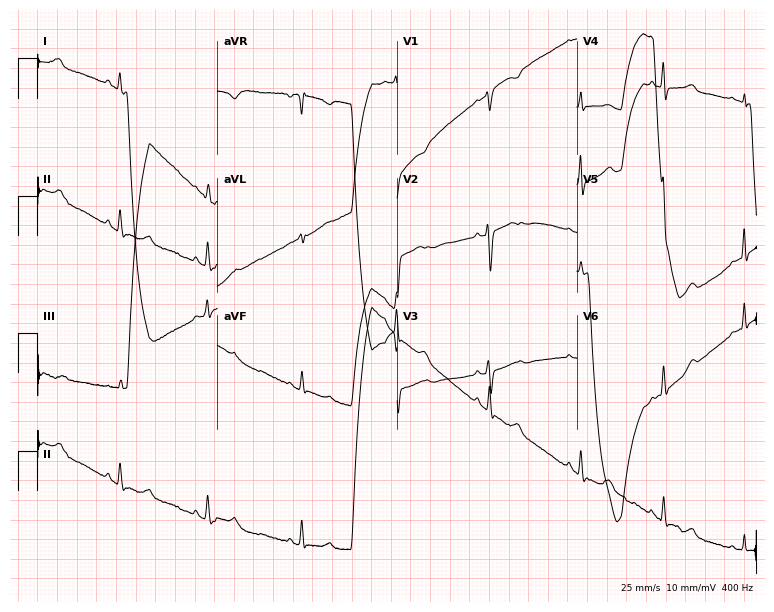
Standard 12-lead ECG recorded from a 35-year-old female. None of these six findings is recorded: first-degree AV block, right bundle branch block (RBBB), left bundle branch block (LBBB), sinus bradycardia, atrial fibrillation (AF), sinus tachycardia. Only these six findings were labelled.